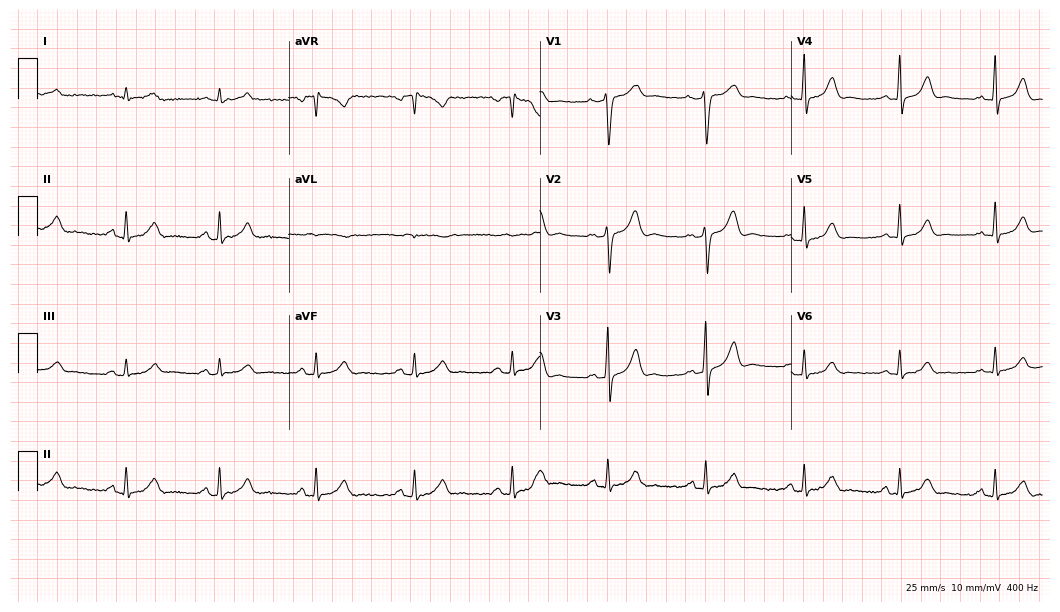
12-lead ECG from a 40-year-old male patient (10.2-second recording at 400 Hz). Recorded interpretation: within normal limits.